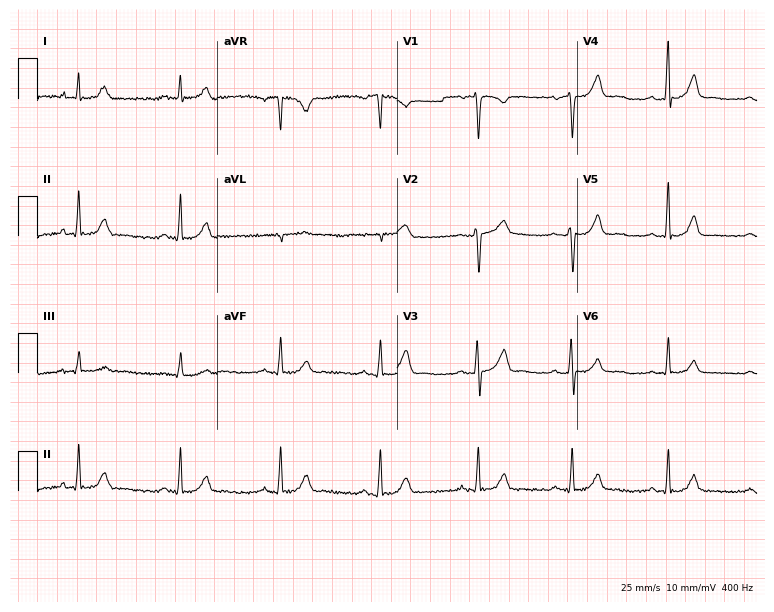
Standard 12-lead ECG recorded from a male patient, 33 years old. None of these six findings is recorded: first-degree AV block, right bundle branch block, left bundle branch block, sinus bradycardia, atrial fibrillation, sinus tachycardia.